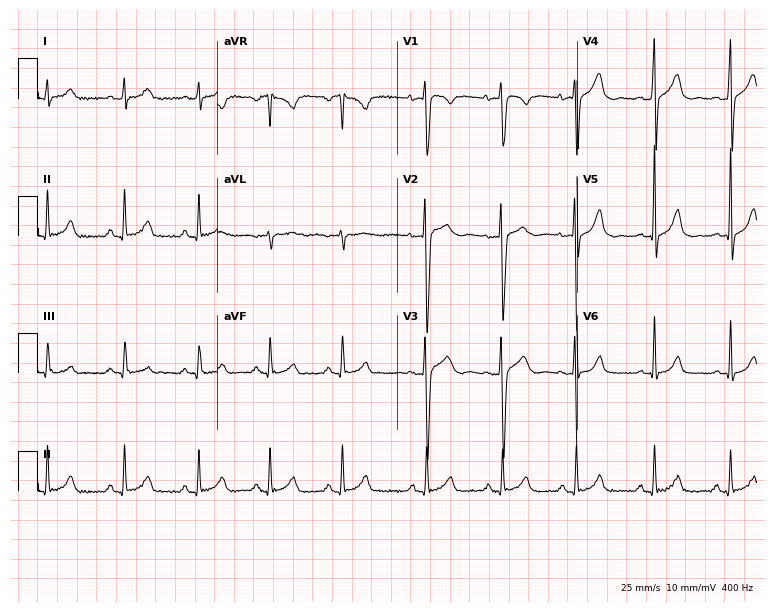
ECG — a 31-year-old male. Labelled as a normal ECG.